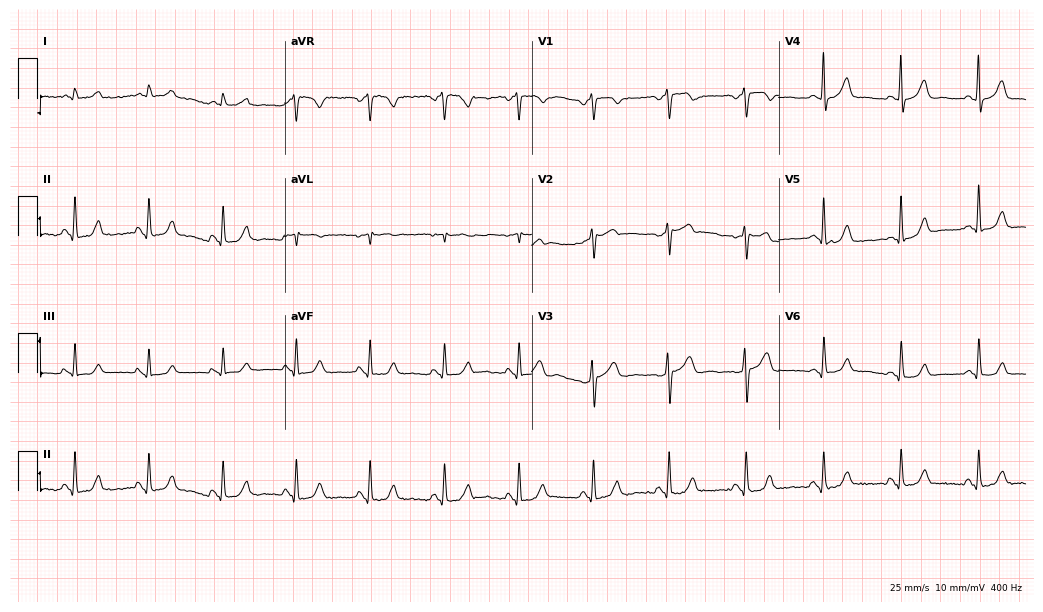
Electrocardiogram, a 69-year-old woman. Overall reading on record: normal ECG.